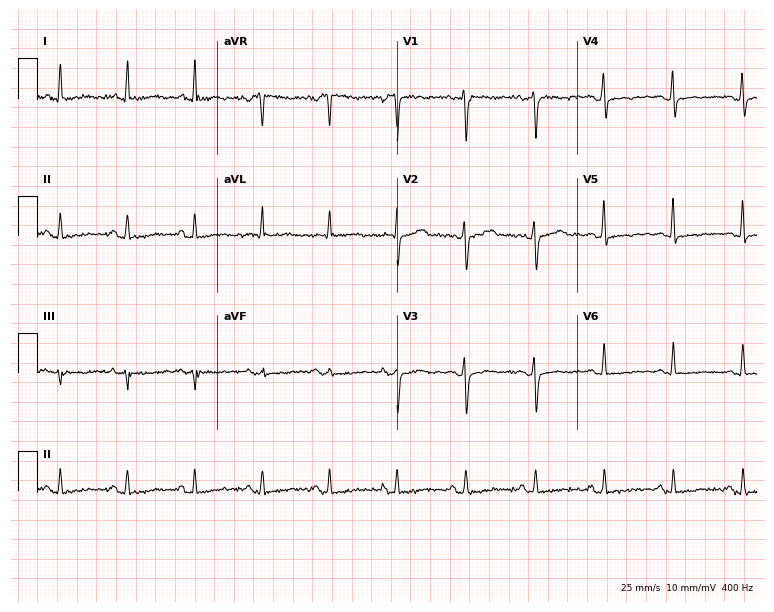
ECG (7.3-second recording at 400 Hz) — a 49-year-old female patient. Screened for six findings — first-degree AV block, right bundle branch block, left bundle branch block, sinus bradycardia, atrial fibrillation, sinus tachycardia — none is recorded.